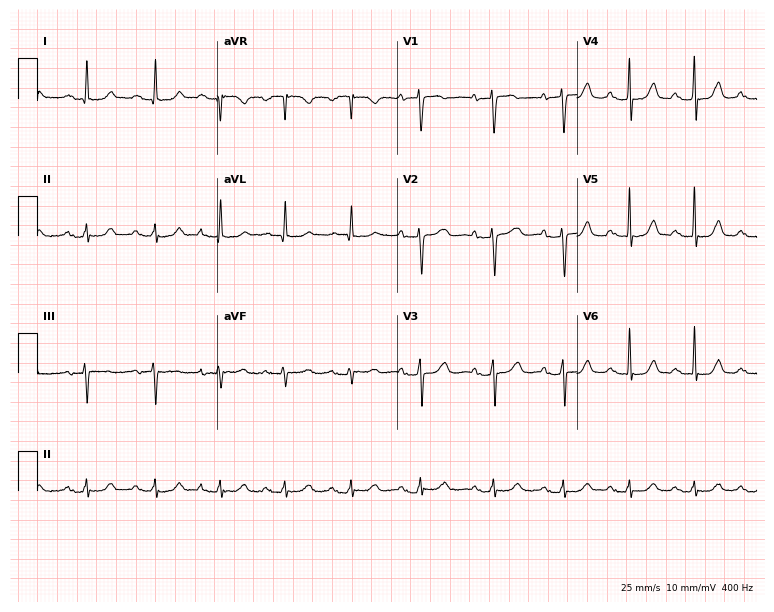
Resting 12-lead electrocardiogram (7.3-second recording at 400 Hz). Patient: a 78-year-old female. None of these six findings is recorded: first-degree AV block, right bundle branch block, left bundle branch block, sinus bradycardia, atrial fibrillation, sinus tachycardia.